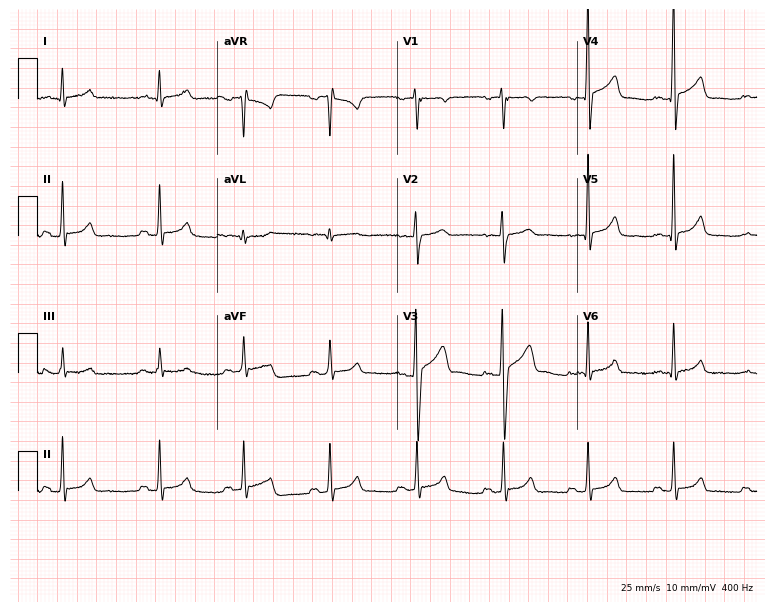
Electrocardiogram, a 35-year-old male patient. Overall reading on record: normal ECG.